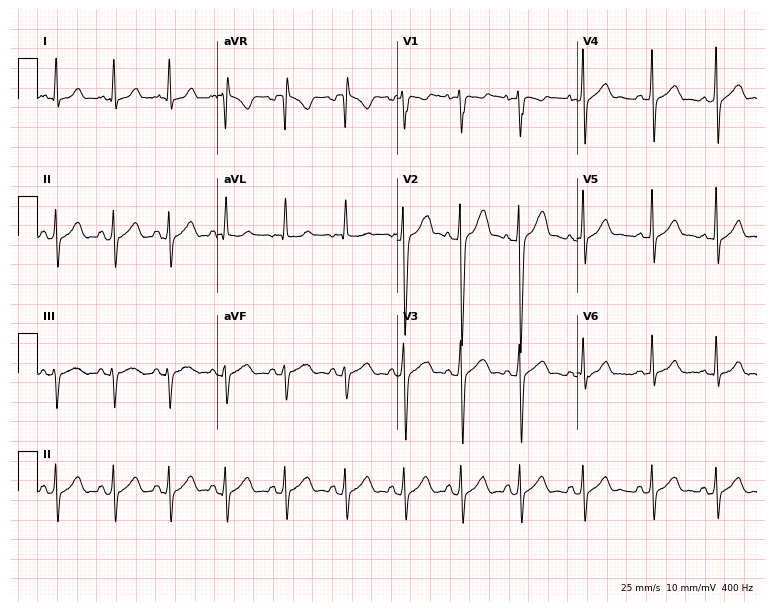
Resting 12-lead electrocardiogram. Patient: a man, 17 years old. Read as a normal ECG.